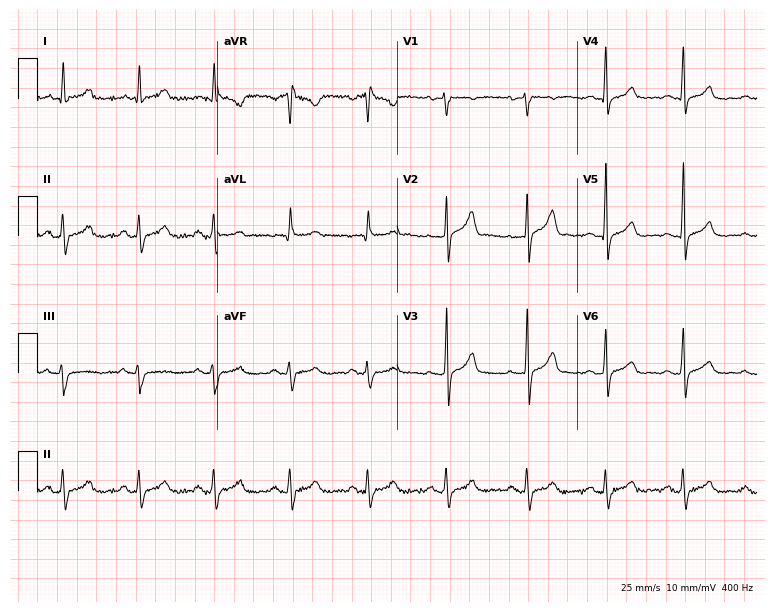
12-lead ECG from a 53-year-old man. Recorded interpretation: within normal limits.